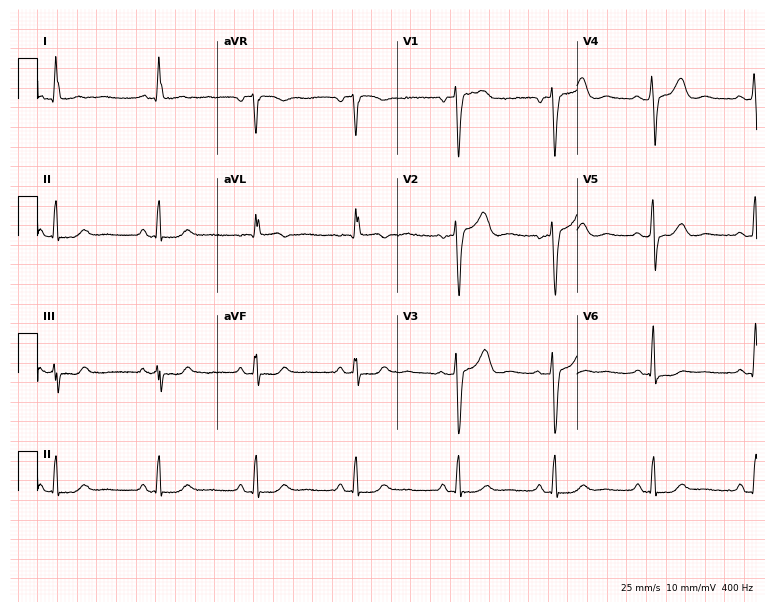
12-lead ECG from a female, 56 years old. Screened for six findings — first-degree AV block, right bundle branch block, left bundle branch block, sinus bradycardia, atrial fibrillation, sinus tachycardia — none is recorded. Only these six findings were labelled.